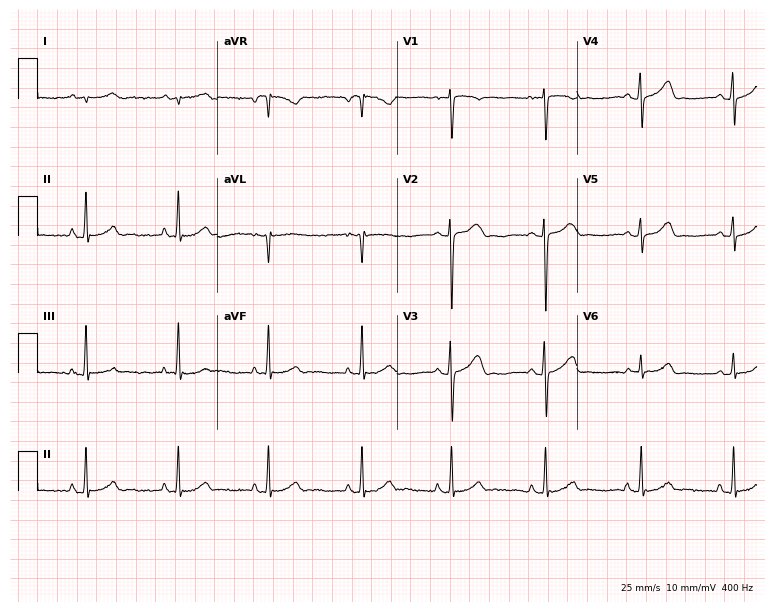
ECG (7.3-second recording at 400 Hz) — a man, 20 years old. Labelled as a normal ECG.